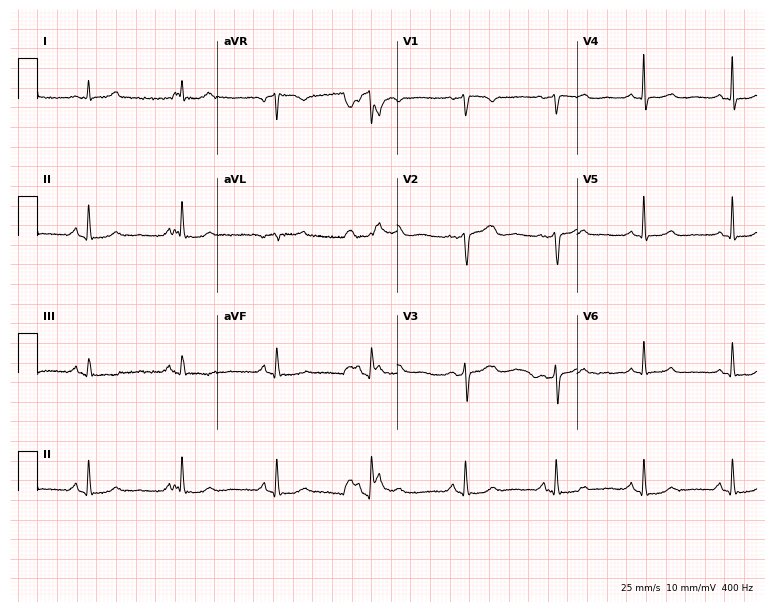
Standard 12-lead ECG recorded from a 66-year-old female. None of these six findings is recorded: first-degree AV block, right bundle branch block (RBBB), left bundle branch block (LBBB), sinus bradycardia, atrial fibrillation (AF), sinus tachycardia. Other findings, if any, are not listed.